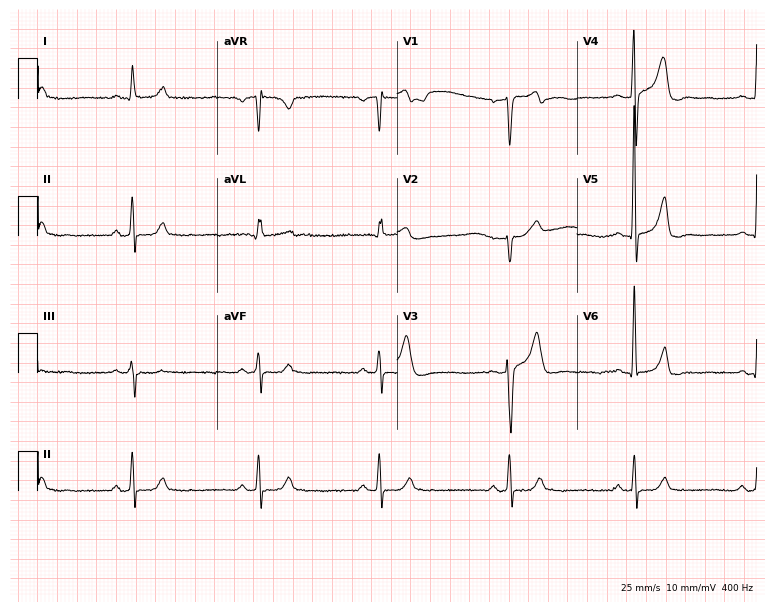
ECG (7.3-second recording at 400 Hz) — a man, 59 years old. Findings include sinus bradycardia (a sinus rate of 50 beats per minute or less).